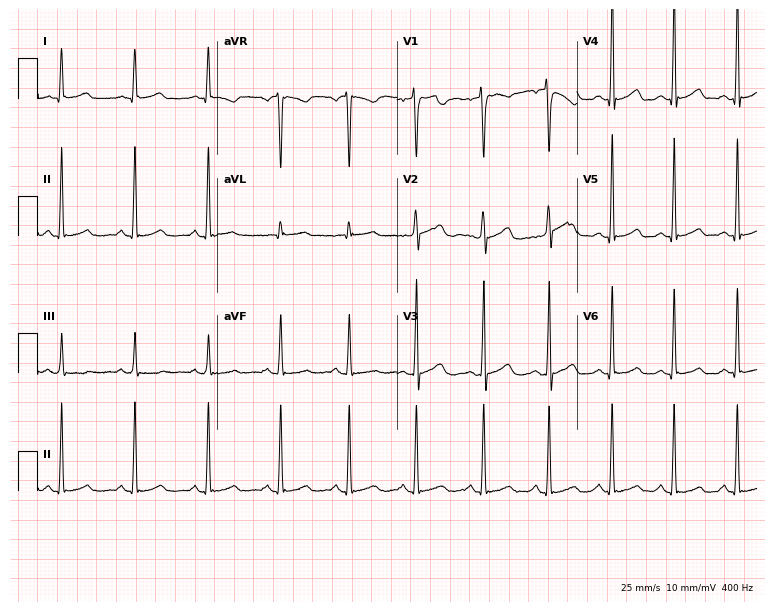
12-lead ECG from a female, 35 years old. Labelled as a normal ECG.